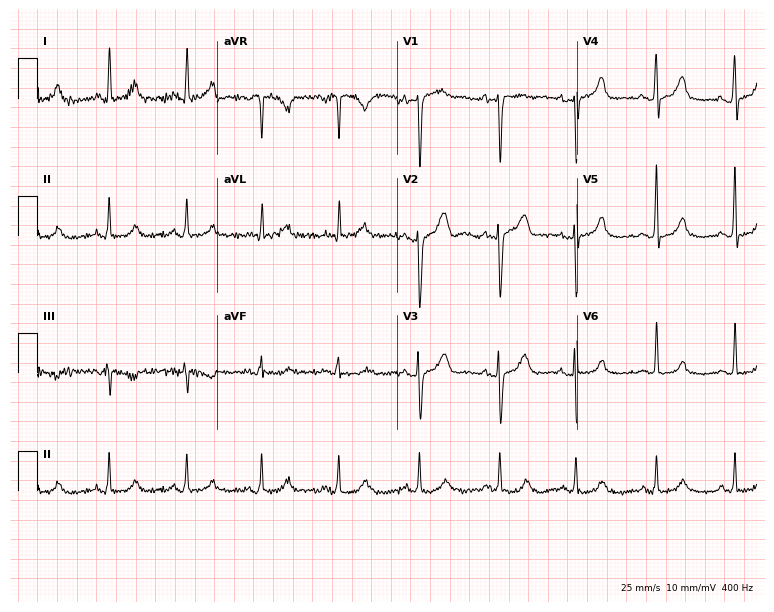
Resting 12-lead electrocardiogram. Patient: a female, 33 years old. Read as a normal ECG.